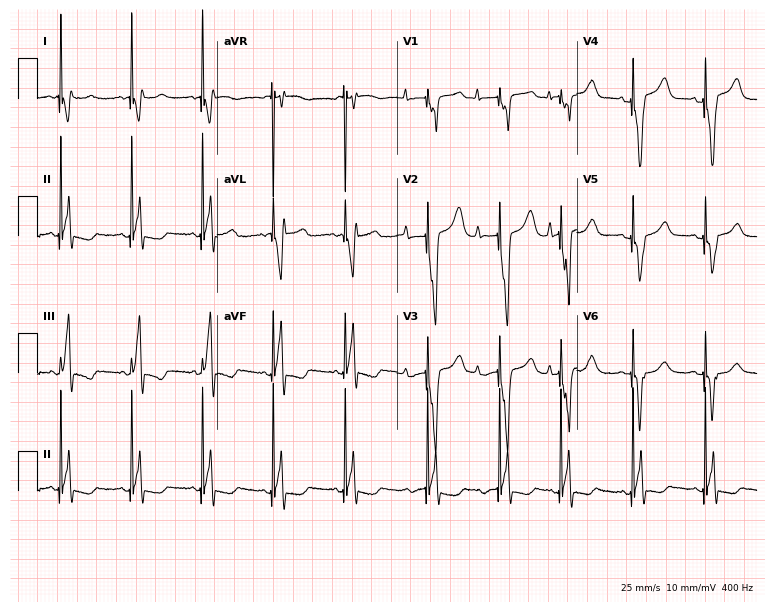
12-lead ECG from a 77-year-old female (7.3-second recording at 400 Hz). No first-degree AV block, right bundle branch block, left bundle branch block, sinus bradycardia, atrial fibrillation or sinus tachycardia recorded for this tracing.